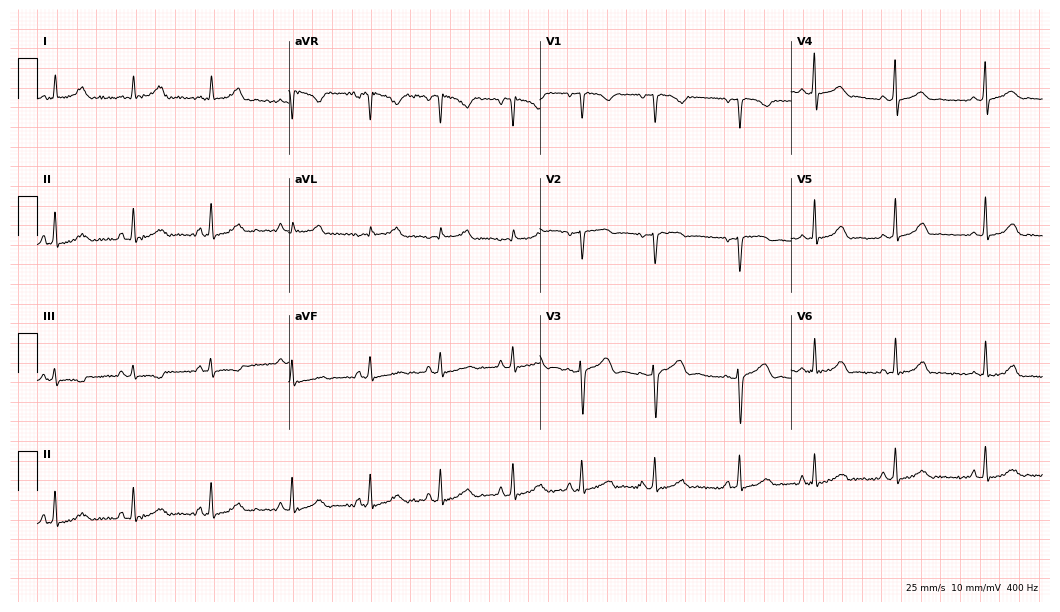
Resting 12-lead electrocardiogram (10.2-second recording at 400 Hz). Patient: a 20-year-old female. None of these six findings is recorded: first-degree AV block, right bundle branch block (RBBB), left bundle branch block (LBBB), sinus bradycardia, atrial fibrillation (AF), sinus tachycardia.